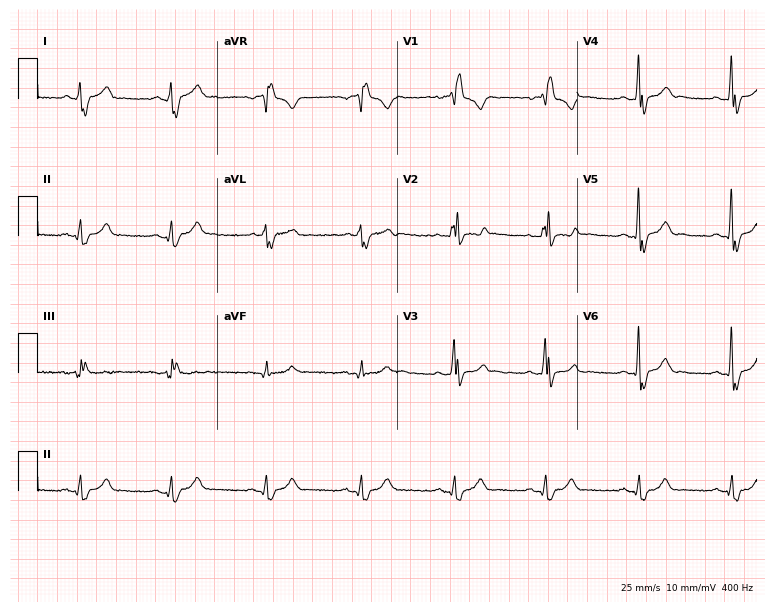
ECG — a man, 46 years old. Findings include right bundle branch block.